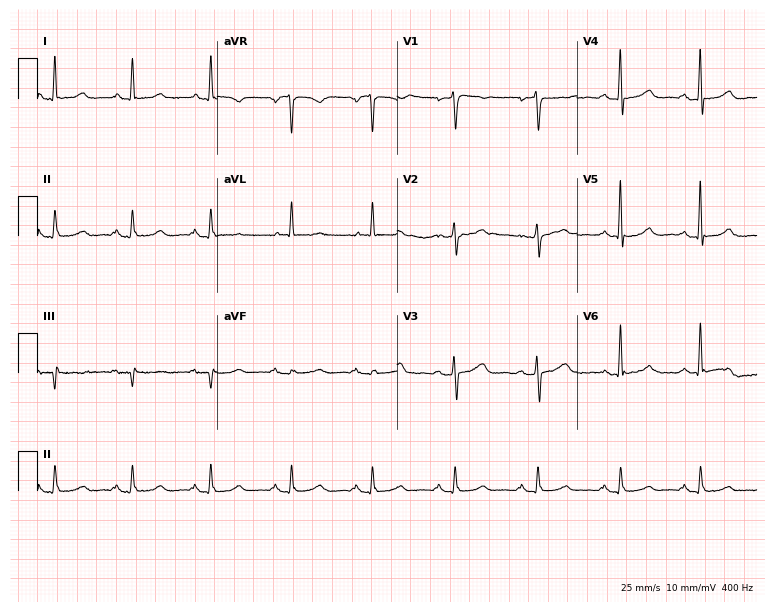
Electrocardiogram, a 55-year-old female patient. Overall reading on record: normal ECG.